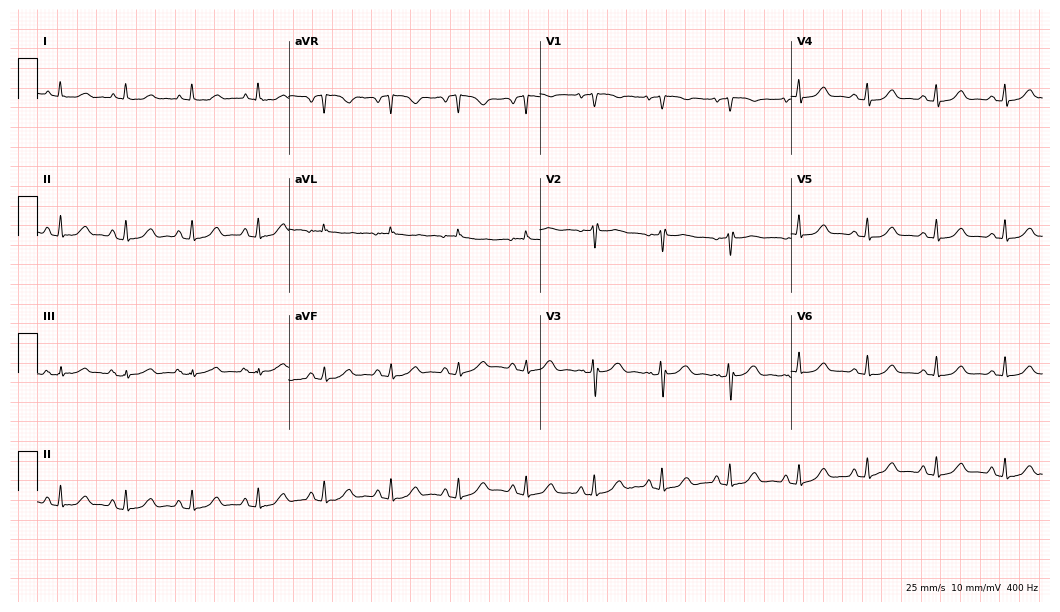
Electrocardiogram (10.2-second recording at 400 Hz), an 80-year-old female patient. Overall reading on record: normal ECG.